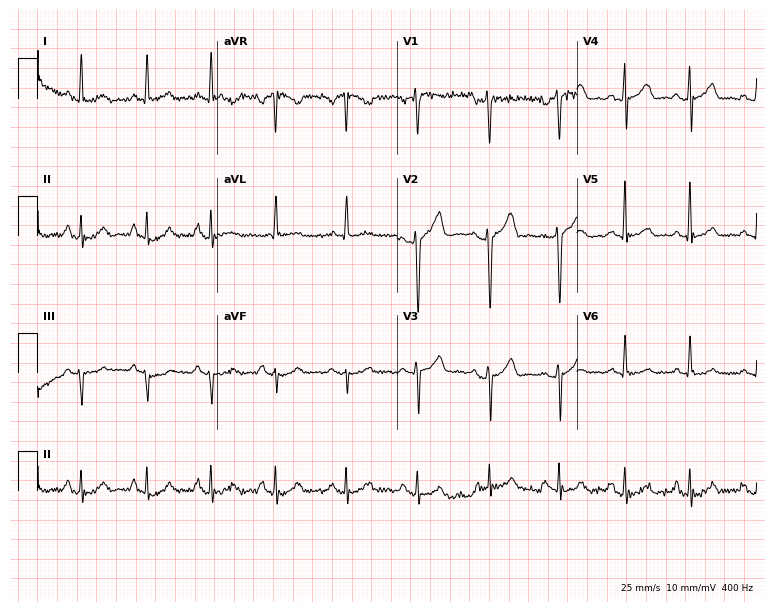
12-lead ECG from a man, 35 years old (7.3-second recording at 400 Hz). Recorded interpretation: within normal limits.